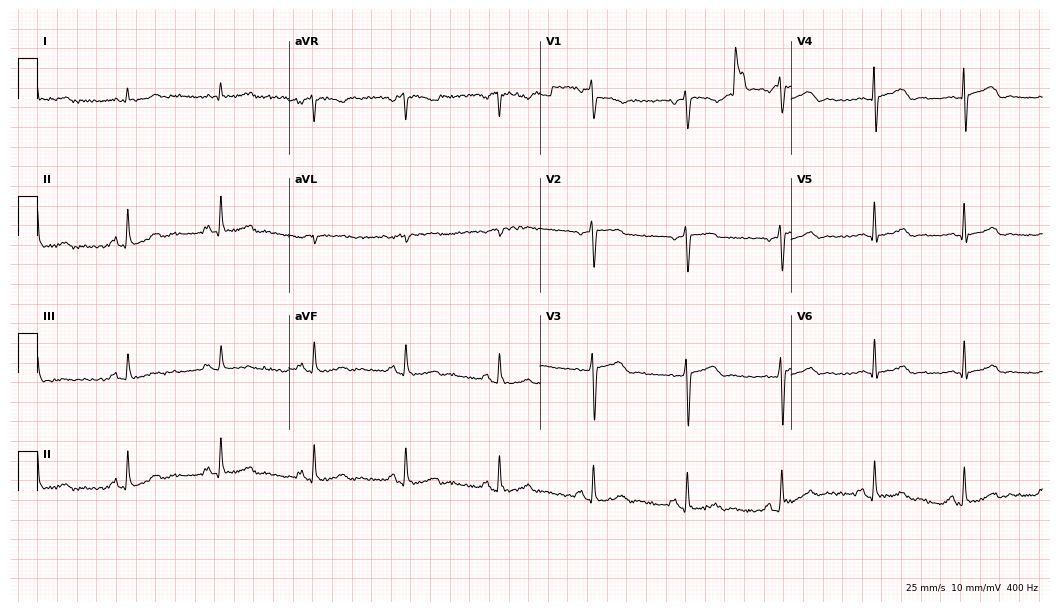
Standard 12-lead ECG recorded from a man, 64 years old (10.2-second recording at 400 Hz). None of these six findings is recorded: first-degree AV block, right bundle branch block (RBBB), left bundle branch block (LBBB), sinus bradycardia, atrial fibrillation (AF), sinus tachycardia. Only these six findings were labelled.